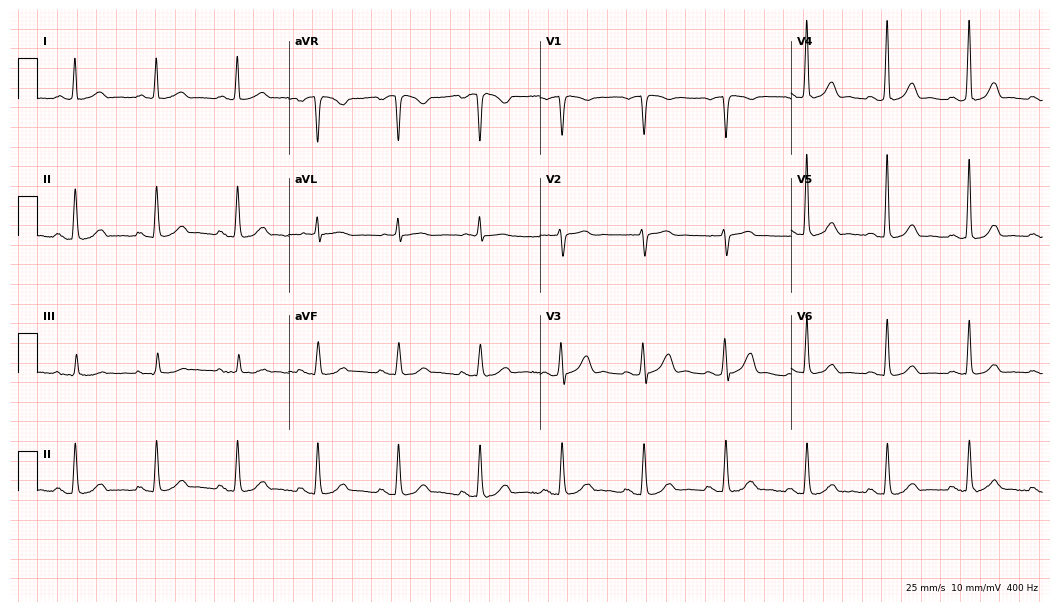
Electrocardiogram (10.2-second recording at 400 Hz), a man, 71 years old. Overall reading on record: normal ECG.